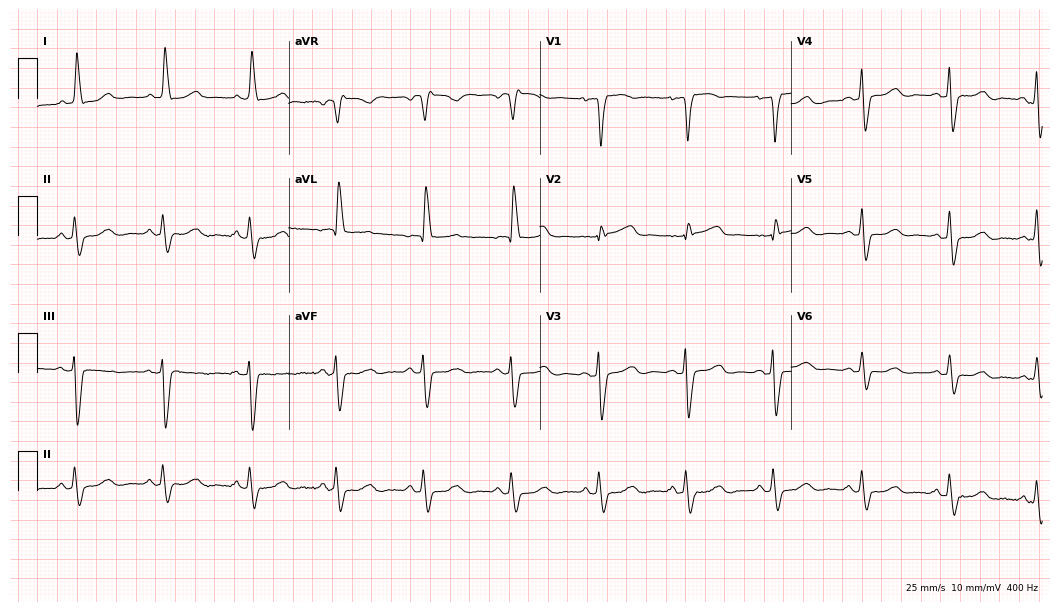
Electrocardiogram, a female patient, 79 years old. Of the six screened findings (first-degree AV block, right bundle branch block, left bundle branch block, sinus bradycardia, atrial fibrillation, sinus tachycardia), none is recorded.